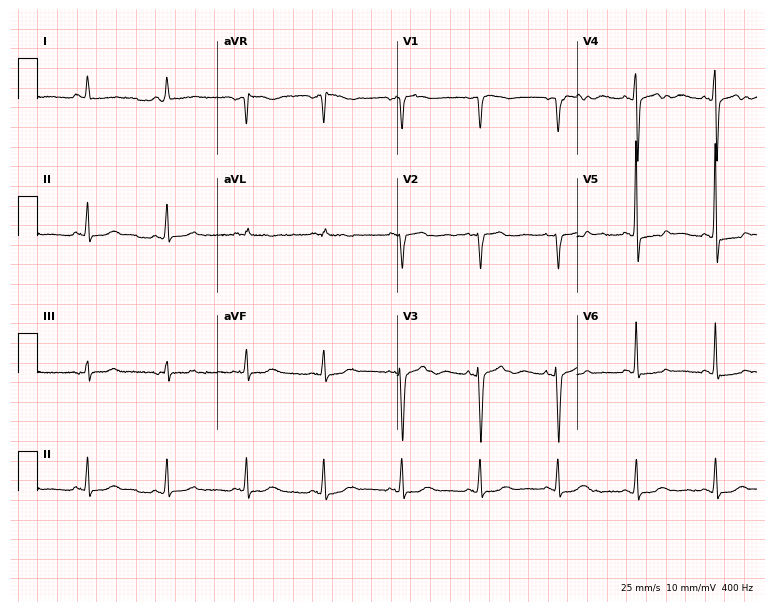
12-lead ECG from a female, 80 years old. Screened for six findings — first-degree AV block, right bundle branch block, left bundle branch block, sinus bradycardia, atrial fibrillation, sinus tachycardia — none is recorded.